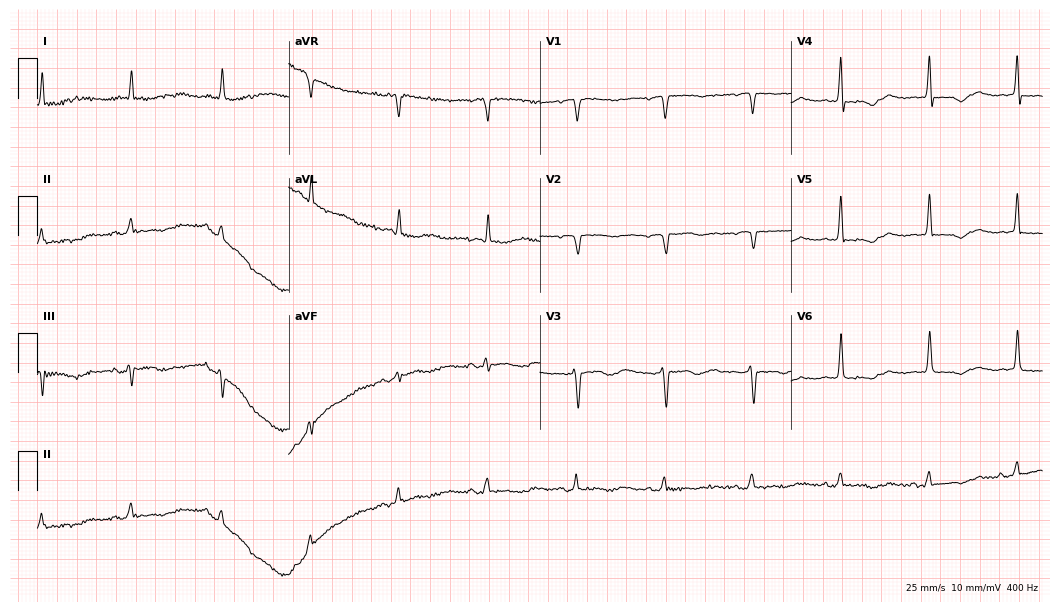
Resting 12-lead electrocardiogram. Patient: an 82-year-old female. None of these six findings is recorded: first-degree AV block, right bundle branch block, left bundle branch block, sinus bradycardia, atrial fibrillation, sinus tachycardia.